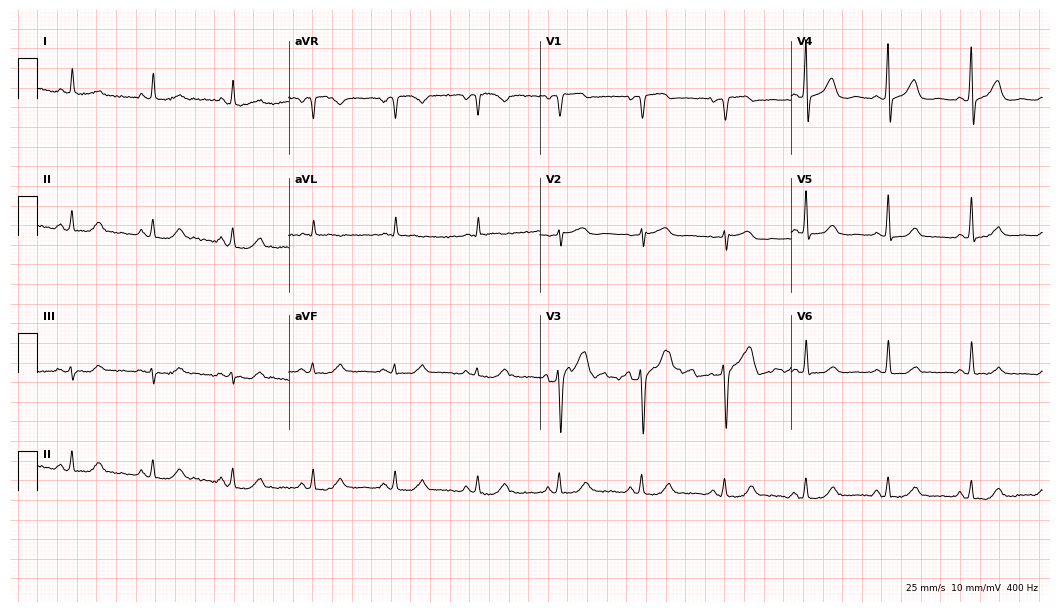
ECG (10.2-second recording at 400 Hz) — a 52-year-old woman. Screened for six findings — first-degree AV block, right bundle branch block, left bundle branch block, sinus bradycardia, atrial fibrillation, sinus tachycardia — none is recorded. Findings outside these six are not listed.